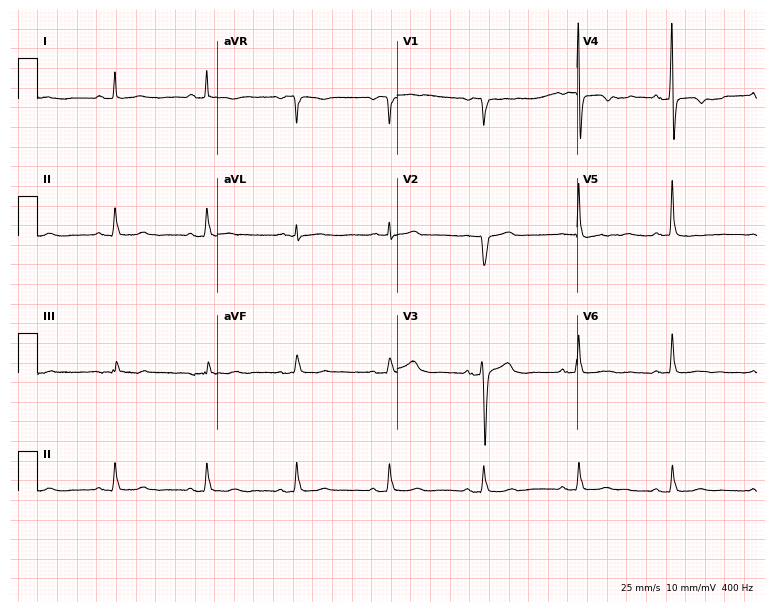
12-lead ECG from a 46-year-old man (7.3-second recording at 400 Hz). No first-degree AV block, right bundle branch block, left bundle branch block, sinus bradycardia, atrial fibrillation or sinus tachycardia recorded for this tracing. Other findings, if any, are not listed.